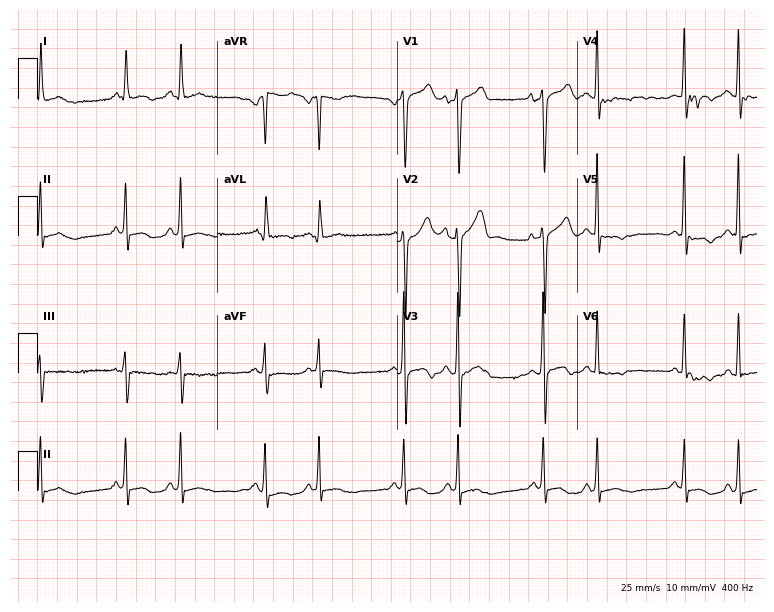
Standard 12-lead ECG recorded from a male patient, 56 years old. None of these six findings is recorded: first-degree AV block, right bundle branch block, left bundle branch block, sinus bradycardia, atrial fibrillation, sinus tachycardia.